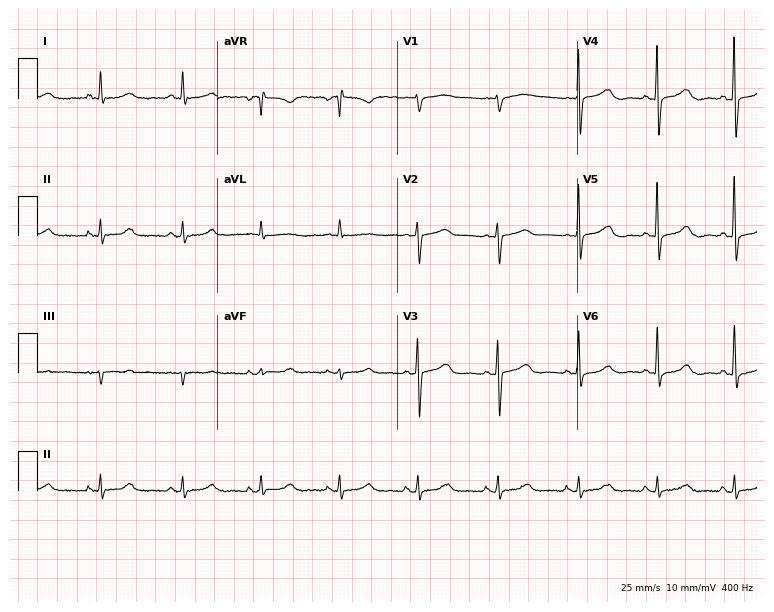
Resting 12-lead electrocardiogram (7.3-second recording at 400 Hz). Patient: a 75-year-old woman. None of these six findings is recorded: first-degree AV block, right bundle branch block, left bundle branch block, sinus bradycardia, atrial fibrillation, sinus tachycardia. Only these six findings were labelled.